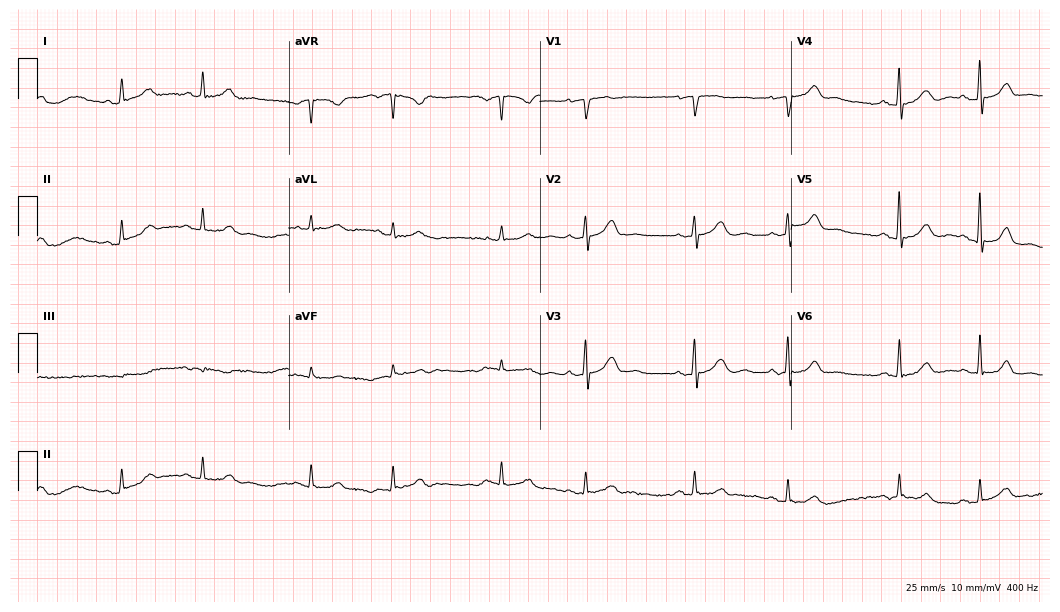
12-lead ECG from a man, 74 years old. No first-degree AV block, right bundle branch block (RBBB), left bundle branch block (LBBB), sinus bradycardia, atrial fibrillation (AF) or sinus tachycardia recorded for this tracing.